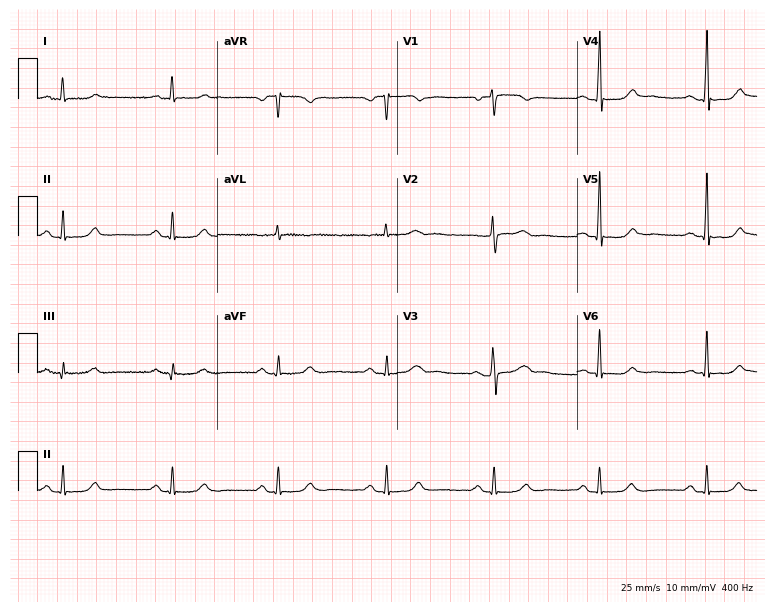
ECG (7.3-second recording at 400 Hz) — a 56-year-old female. Labelled as a normal ECG.